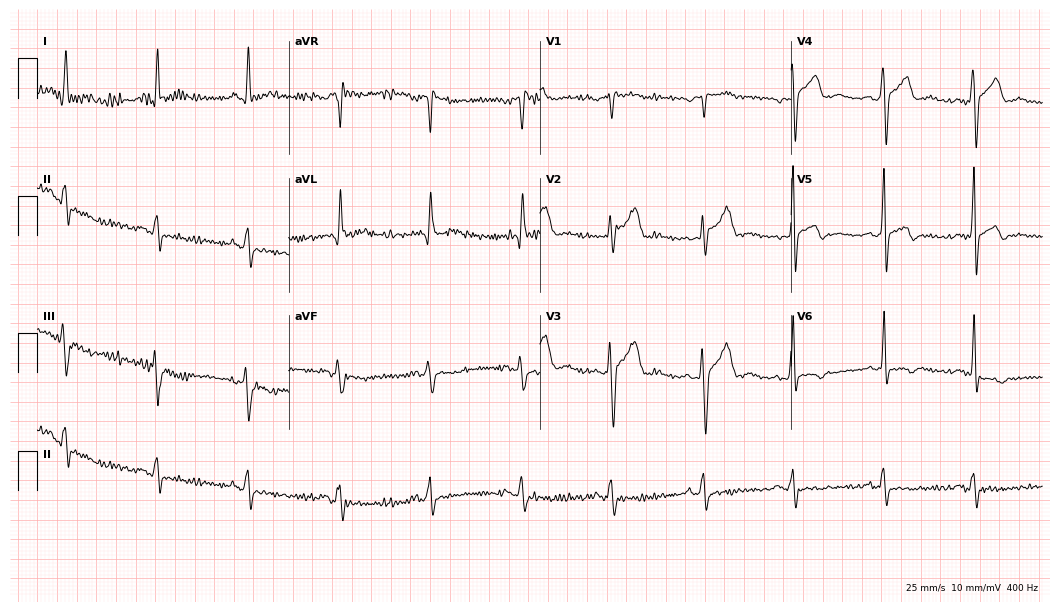
12-lead ECG from a man, 53 years old. Screened for six findings — first-degree AV block, right bundle branch block (RBBB), left bundle branch block (LBBB), sinus bradycardia, atrial fibrillation (AF), sinus tachycardia — none is recorded.